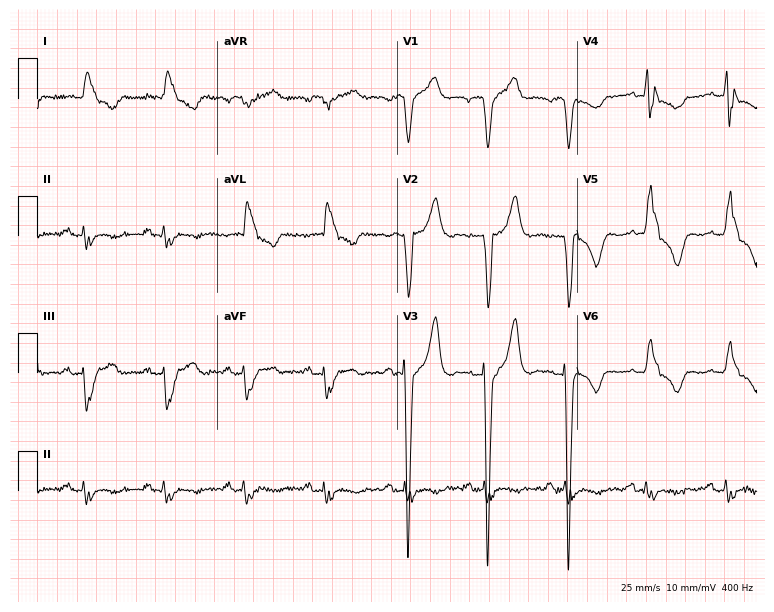
12-lead ECG from a male, 82 years old. Screened for six findings — first-degree AV block, right bundle branch block (RBBB), left bundle branch block (LBBB), sinus bradycardia, atrial fibrillation (AF), sinus tachycardia — none is recorded. Other findings, if any, are not listed.